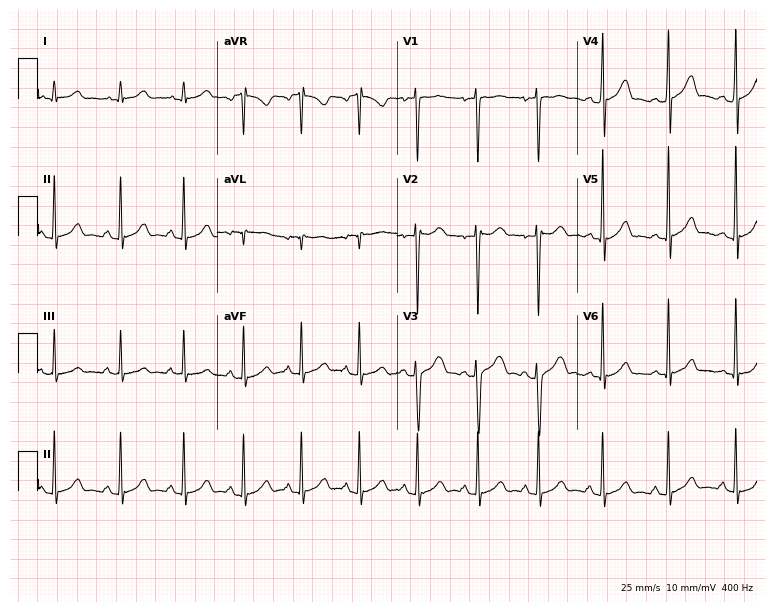
Standard 12-lead ECG recorded from an 18-year-old male (7.3-second recording at 400 Hz). Read as a normal ECG.